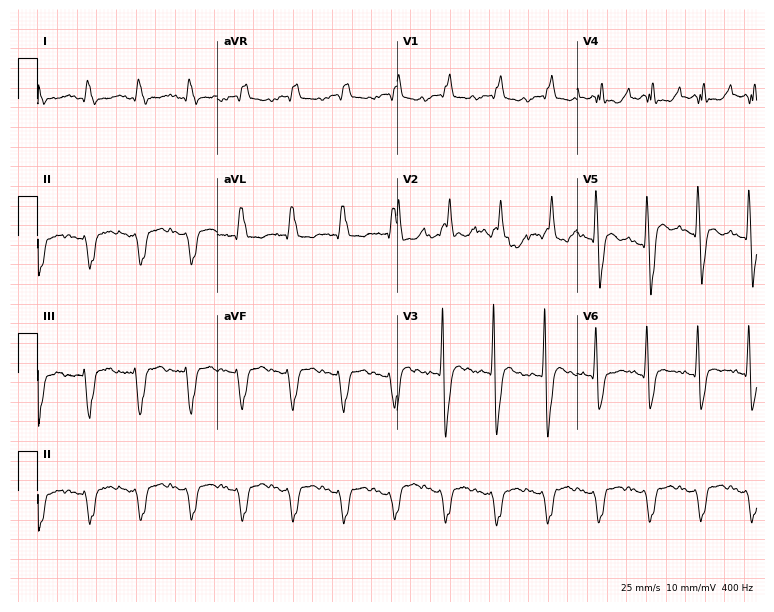
12-lead ECG from a man, 41 years old. Findings include right bundle branch block (RBBB), sinus tachycardia (a sinus rate of 100 beats per minute or more).